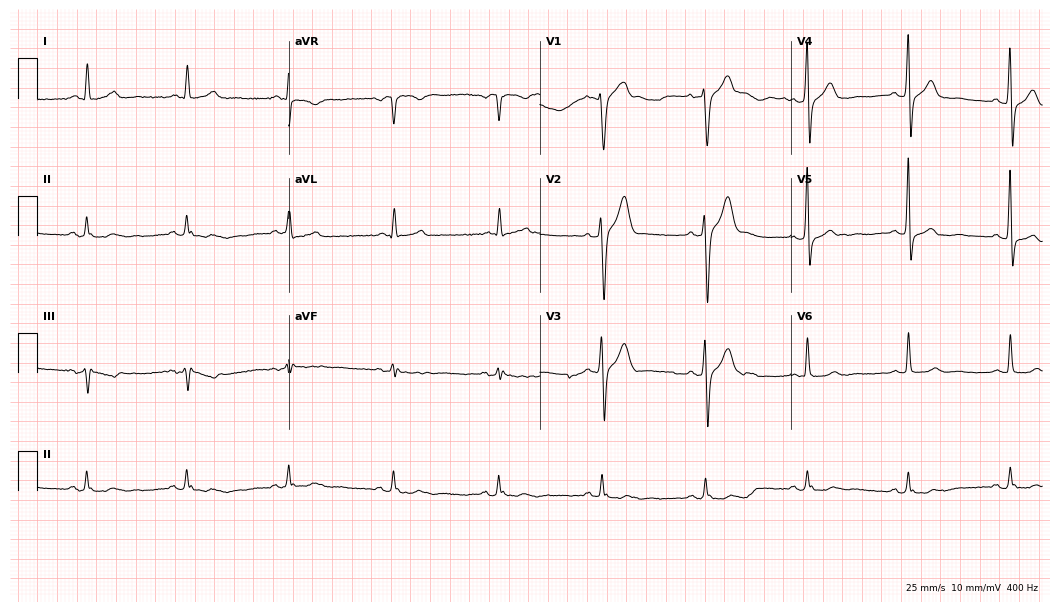
Standard 12-lead ECG recorded from a man, 67 years old (10.2-second recording at 400 Hz). None of these six findings is recorded: first-degree AV block, right bundle branch block, left bundle branch block, sinus bradycardia, atrial fibrillation, sinus tachycardia. Only these six findings were labelled.